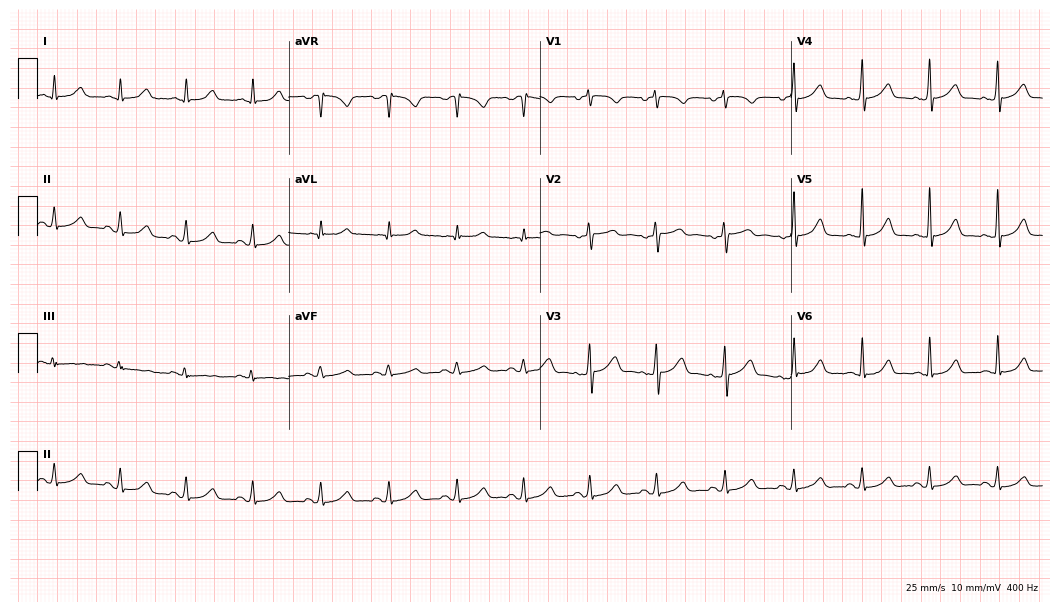
Resting 12-lead electrocardiogram (10.2-second recording at 400 Hz). Patient: a female, 53 years old. None of these six findings is recorded: first-degree AV block, right bundle branch block, left bundle branch block, sinus bradycardia, atrial fibrillation, sinus tachycardia.